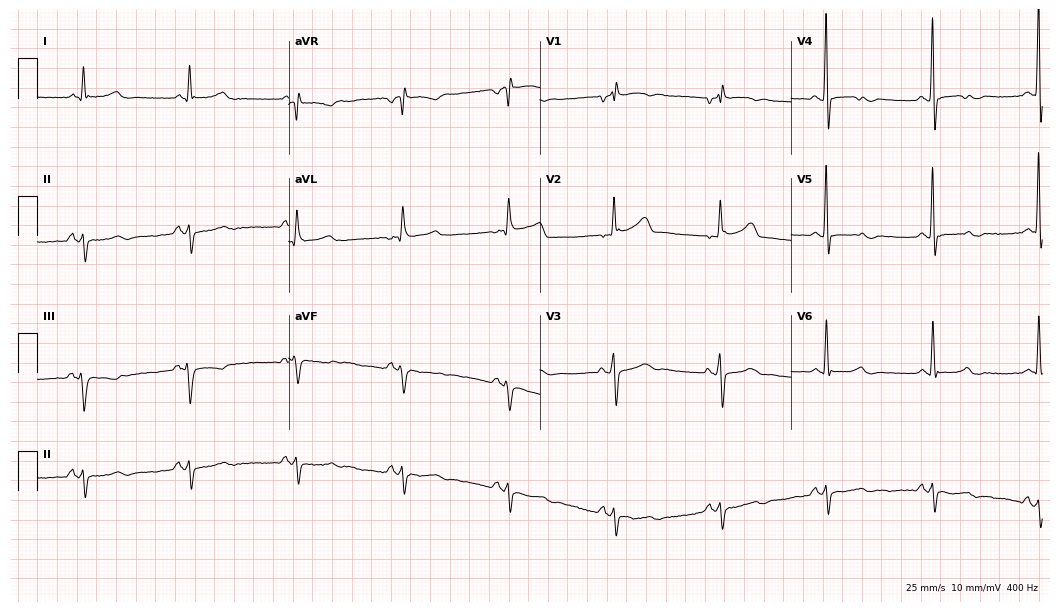
Electrocardiogram, an 81-year-old male patient. Of the six screened findings (first-degree AV block, right bundle branch block (RBBB), left bundle branch block (LBBB), sinus bradycardia, atrial fibrillation (AF), sinus tachycardia), none is recorded.